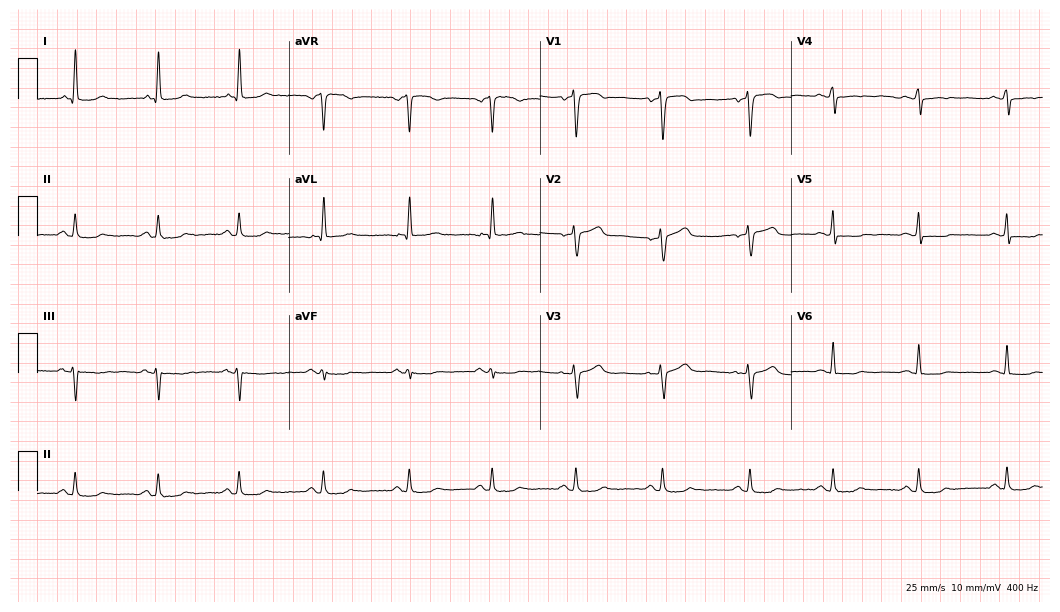
12-lead ECG from a female patient, 39 years old. No first-degree AV block, right bundle branch block, left bundle branch block, sinus bradycardia, atrial fibrillation or sinus tachycardia recorded for this tracing. Other findings, if any, are not listed.